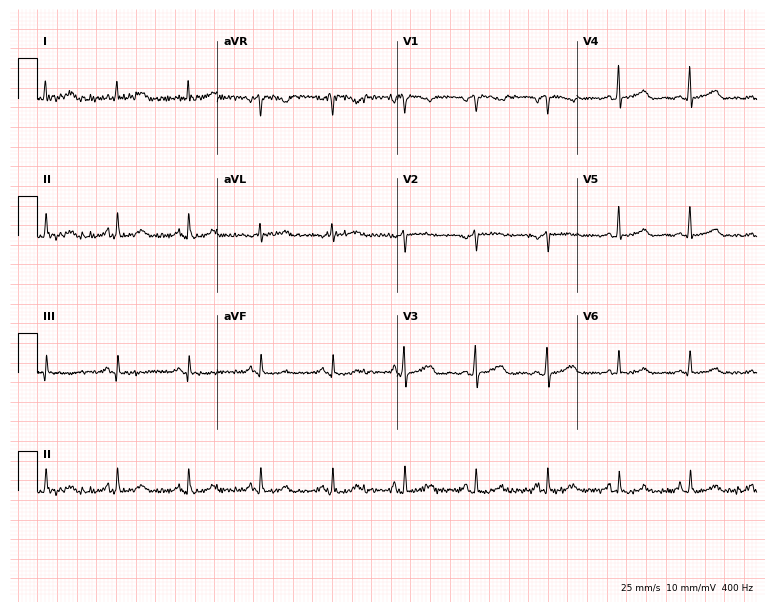
Standard 12-lead ECG recorded from a 50-year-old female patient (7.3-second recording at 400 Hz). Read as a normal ECG.